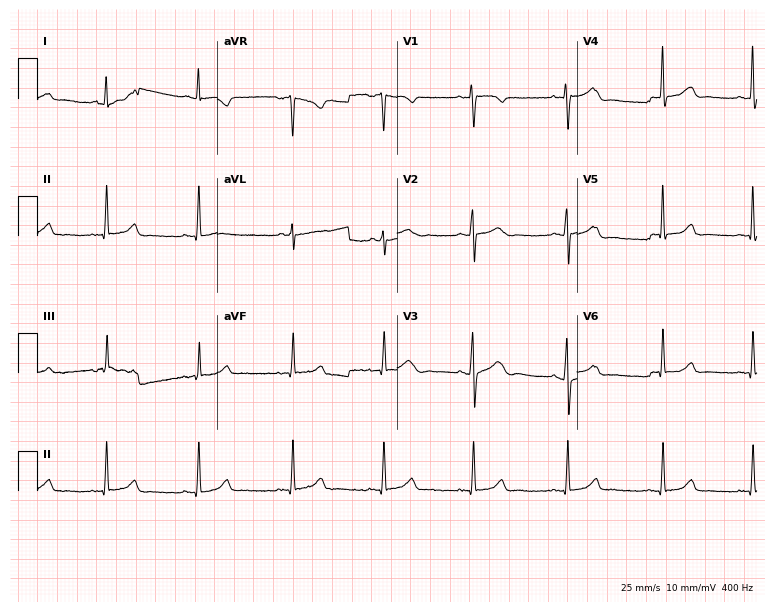
ECG (7.3-second recording at 400 Hz) — a woman, 28 years old. Labelled as a normal ECG.